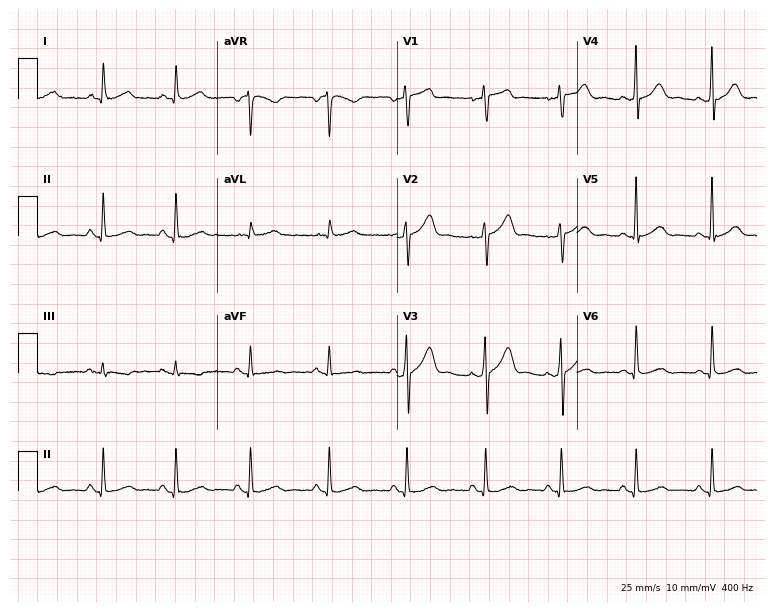
12-lead ECG from a 68-year-old man (7.3-second recording at 400 Hz). Recorded interpretation: within normal limits.